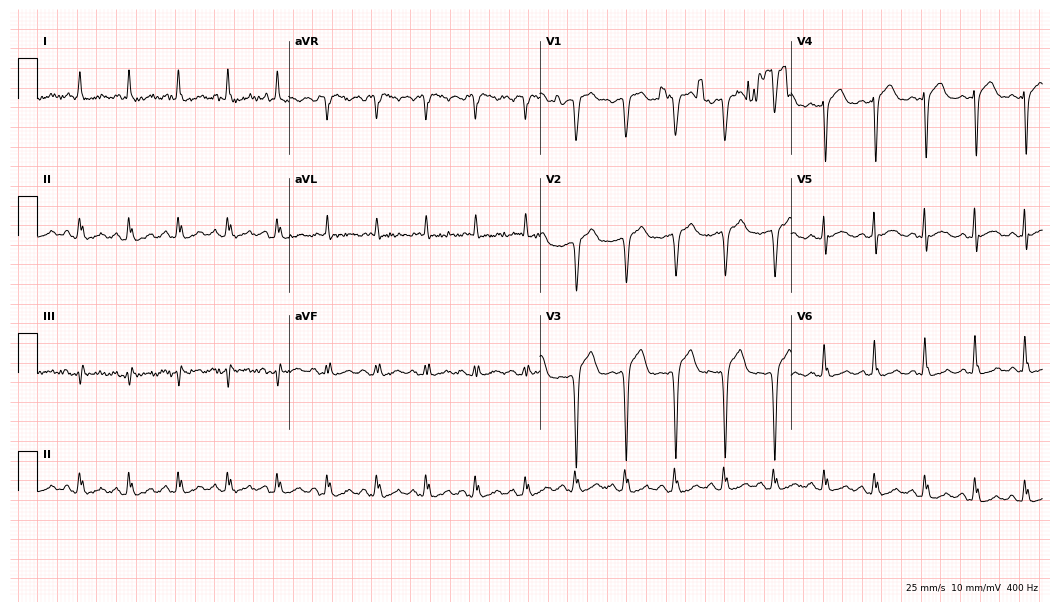
12-lead ECG from a male patient, 83 years old. Screened for six findings — first-degree AV block, right bundle branch block, left bundle branch block, sinus bradycardia, atrial fibrillation, sinus tachycardia — none is recorded.